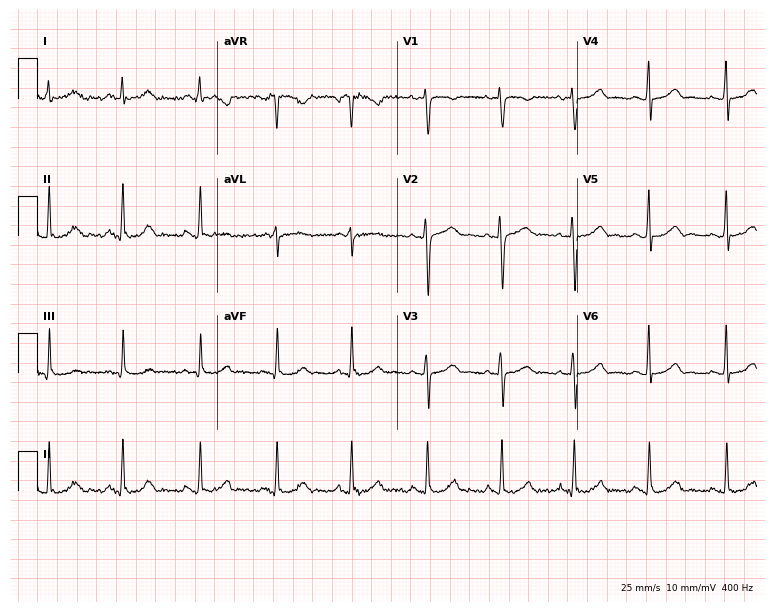
Resting 12-lead electrocardiogram (7.3-second recording at 400 Hz). Patient: a female, 40 years old. Read as a normal ECG.